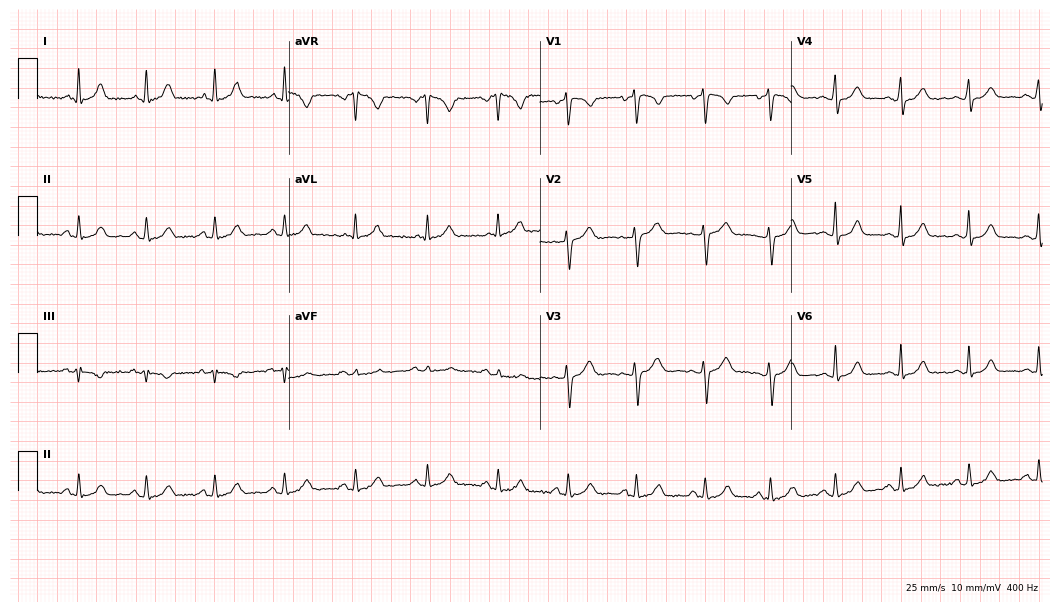
Electrocardiogram (10.2-second recording at 400 Hz), a 30-year-old female. Overall reading on record: normal ECG.